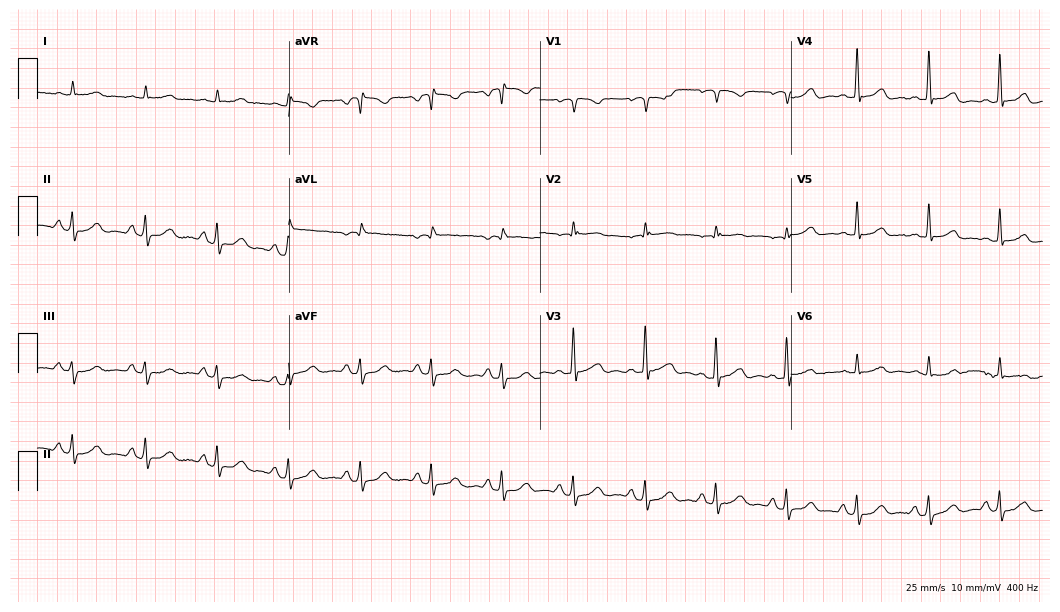
Resting 12-lead electrocardiogram (10.2-second recording at 400 Hz). Patient: an 83-year-old man. Read as a normal ECG.